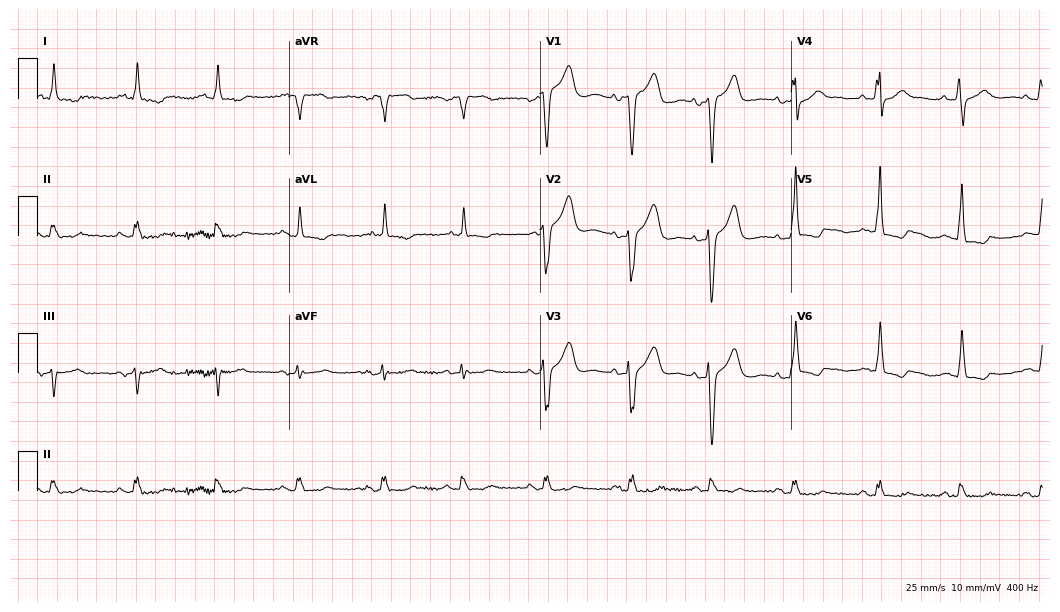
Resting 12-lead electrocardiogram (10.2-second recording at 400 Hz). Patient: a 60-year-old male. None of these six findings is recorded: first-degree AV block, right bundle branch block, left bundle branch block, sinus bradycardia, atrial fibrillation, sinus tachycardia. Findings outside these six are not listed.